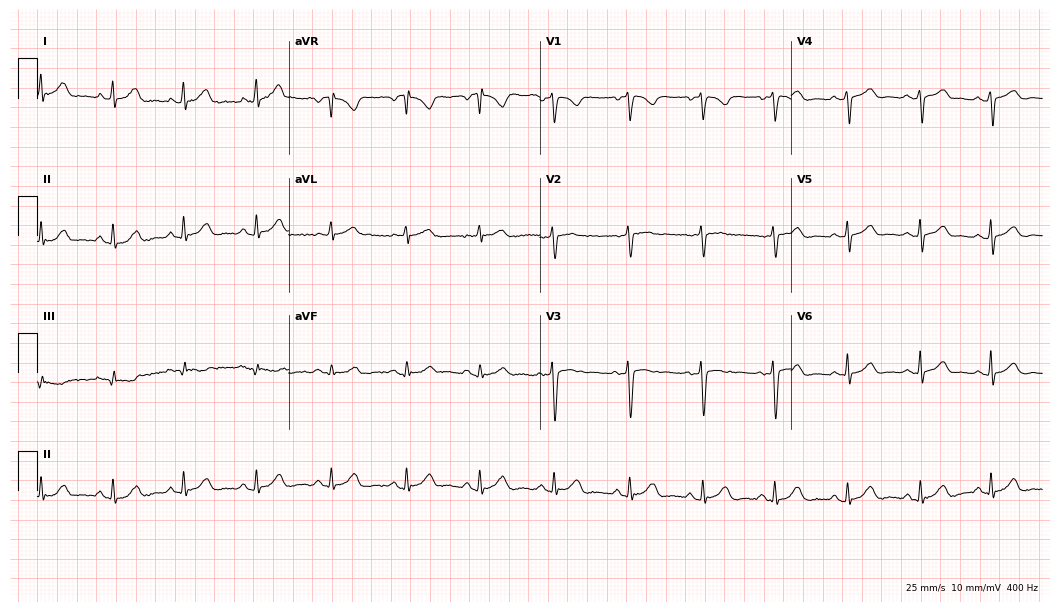
Standard 12-lead ECG recorded from a female patient, 38 years old. Read as a normal ECG.